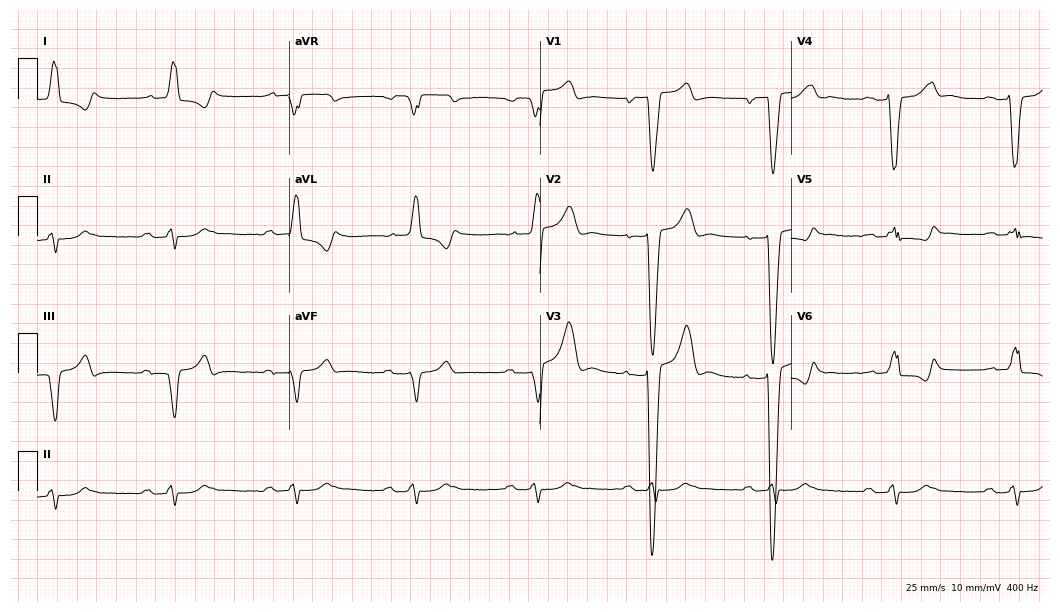
Standard 12-lead ECG recorded from a male patient, 84 years old. The tracing shows first-degree AV block, left bundle branch block, sinus bradycardia (a sinus rate of 50 beats per minute or less).